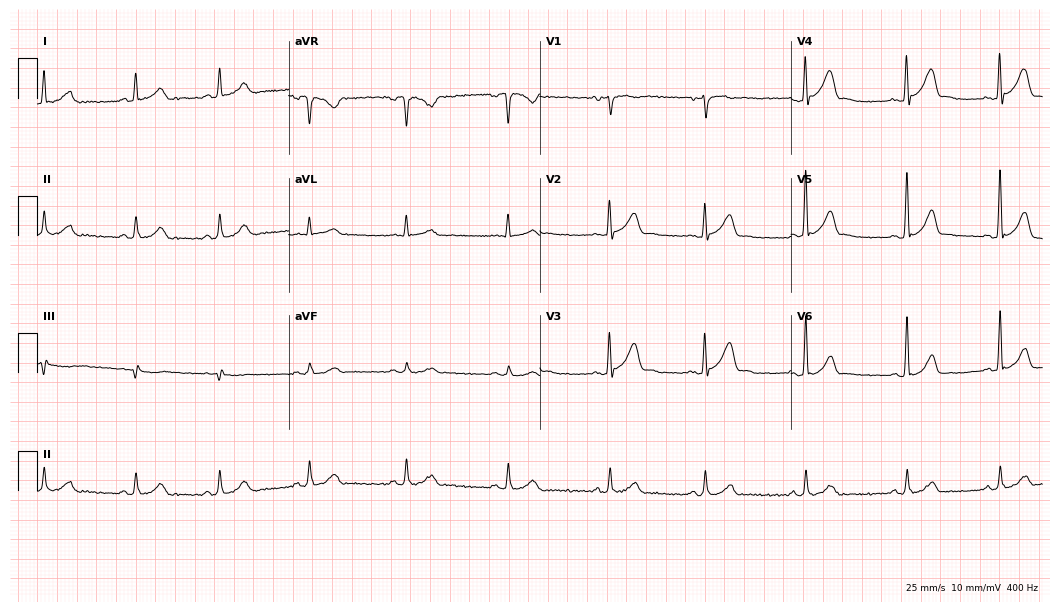
Standard 12-lead ECG recorded from a male patient, 25 years old (10.2-second recording at 400 Hz). Read as a normal ECG.